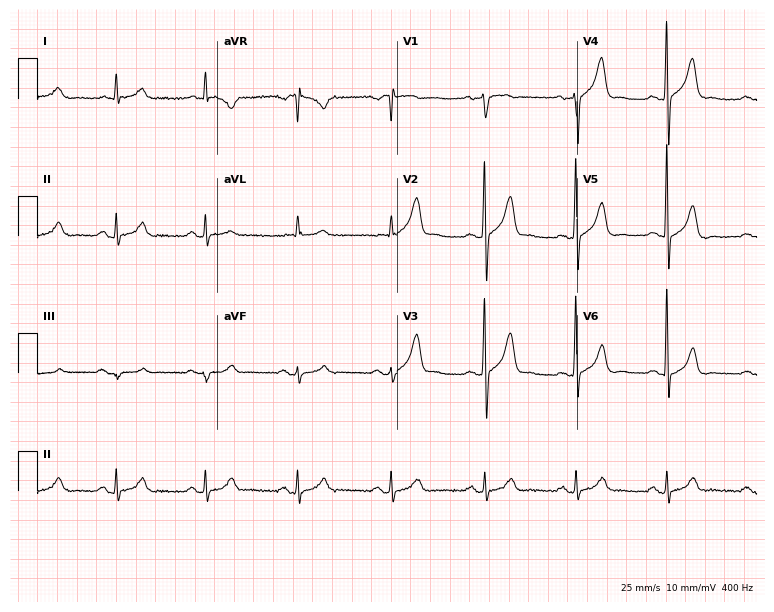
Resting 12-lead electrocardiogram (7.3-second recording at 400 Hz). Patient: a man, 71 years old. Read as a normal ECG.